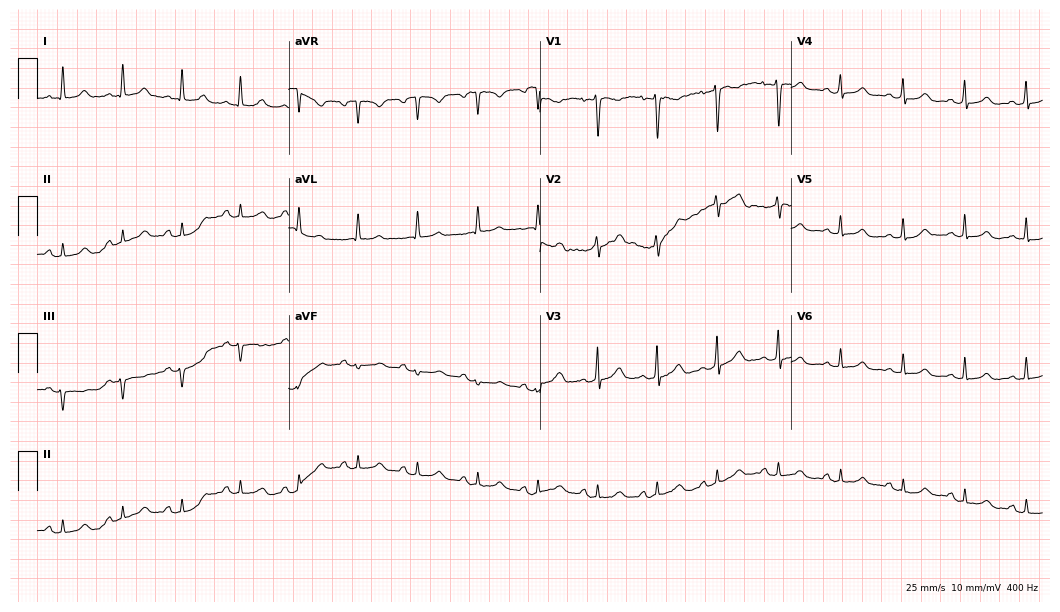
Standard 12-lead ECG recorded from a female, 32 years old. Read as a normal ECG.